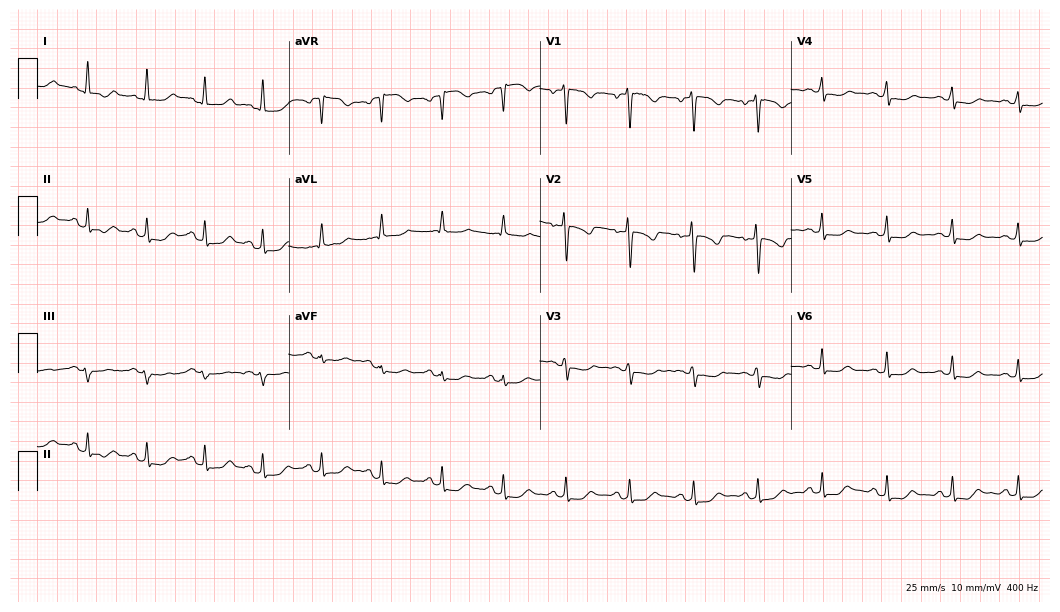
12-lead ECG (10.2-second recording at 400 Hz) from a 42-year-old female patient. Screened for six findings — first-degree AV block, right bundle branch block, left bundle branch block, sinus bradycardia, atrial fibrillation, sinus tachycardia — none is recorded.